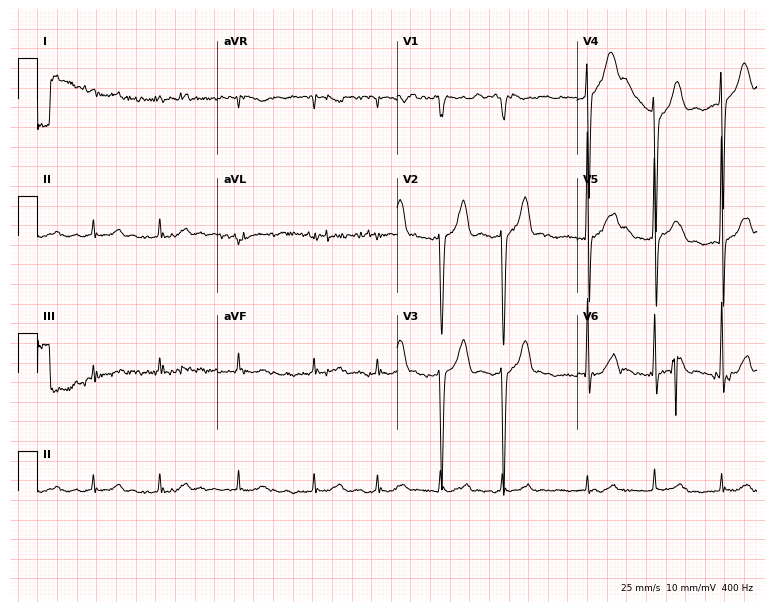
Standard 12-lead ECG recorded from a female patient, 85 years old. None of these six findings is recorded: first-degree AV block, right bundle branch block, left bundle branch block, sinus bradycardia, atrial fibrillation, sinus tachycardia.